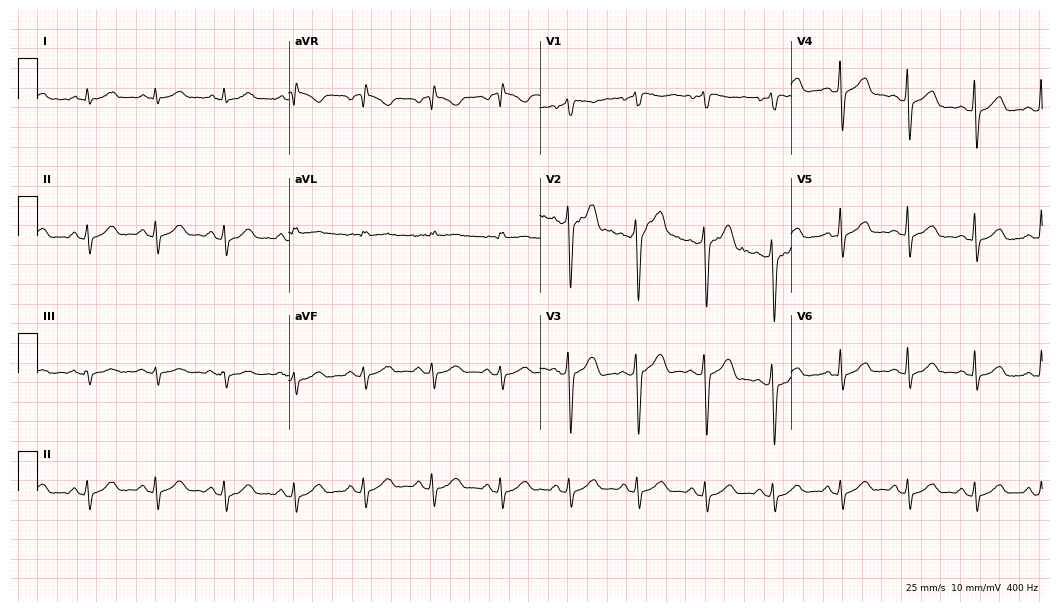
Electrocardiogram (10.2-second recording at 400 Hz), a 68-year-old male. Of the six screened findings (first-degree AV block, right bundle branch block, left bundle branch block, sinus bradycardia, atrial fibrillation, sinus tachycardia), none is recorded. Findings outside these six are not listed.